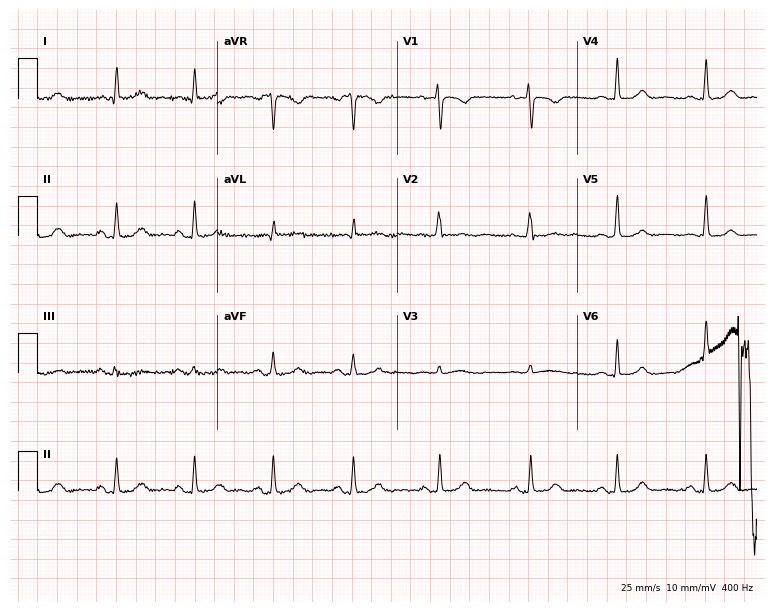
12-lead ECG from a female patient, 40 years old. Screened for six findings — first-degree AV block, right bundle branch block (RBBB), left bundle branch block (LBBB), sinus bradycardia, atrial fibrillation (AF), sinus tachycardia — none is recorded.